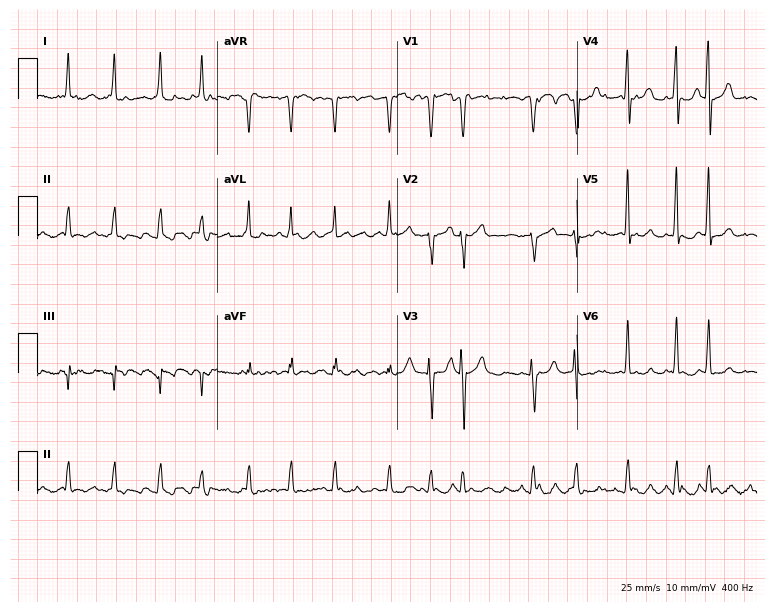
12-lead ECG from a 75-year-old woman. Shows atrial fibrillation.